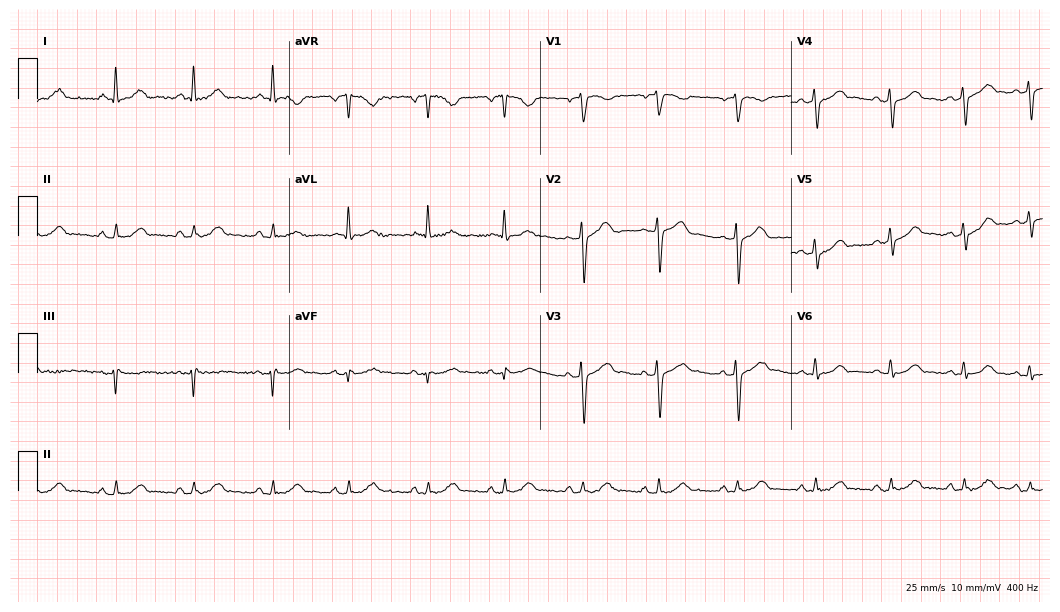
12-lead ECG (10.2-second recording at 400 Hz) from a 39-year-old man. Labelled as a normal ECG.